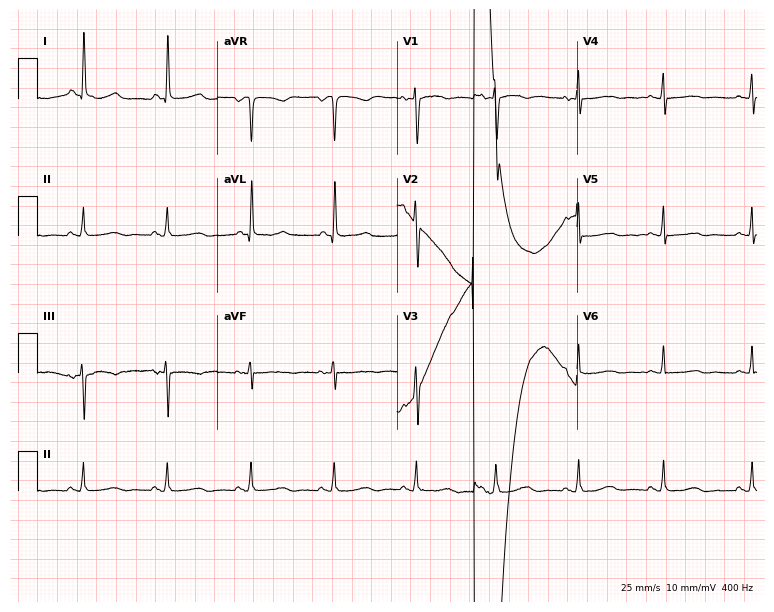
Standard 12-lead ECG recorded from a 59-year-old female patient (7.3-second recording at 400 Hz). None of these six findings is recorded: first-degree AV block, right bundle branch block, left bundle branch block, sinus bradycardia, atrial fibrillation, sinus tachycardia. Only these six findings were labelled.